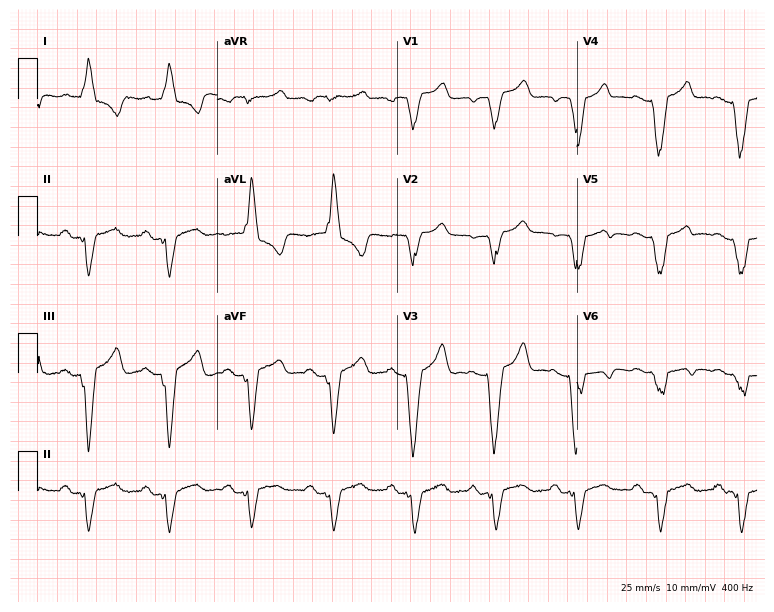
12-lead ECG (7.3-second recording at 400 Hz) from a 70-year-old female. Screened for six findings — first-degree AV block, right bundle branch block (RBBB), left bundle branch block (LBBB), sinus bradycardia, atrial fibrillation (AF), sinus tachycardia — none is recorded.